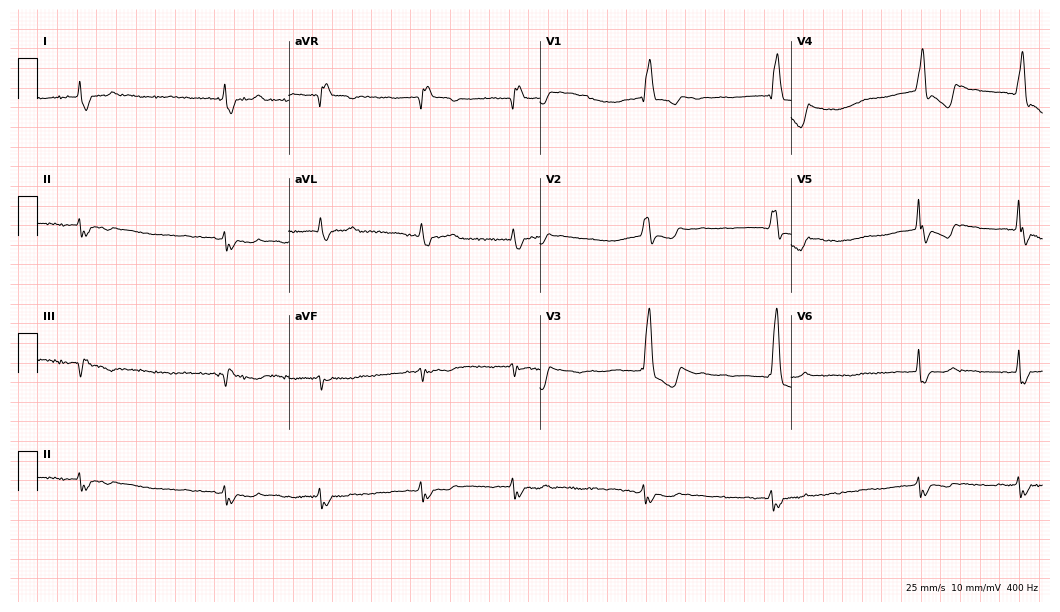
12-lead ECG from a woman, 80 years old. Findings include right bundle branch block, atrial fibrillation.